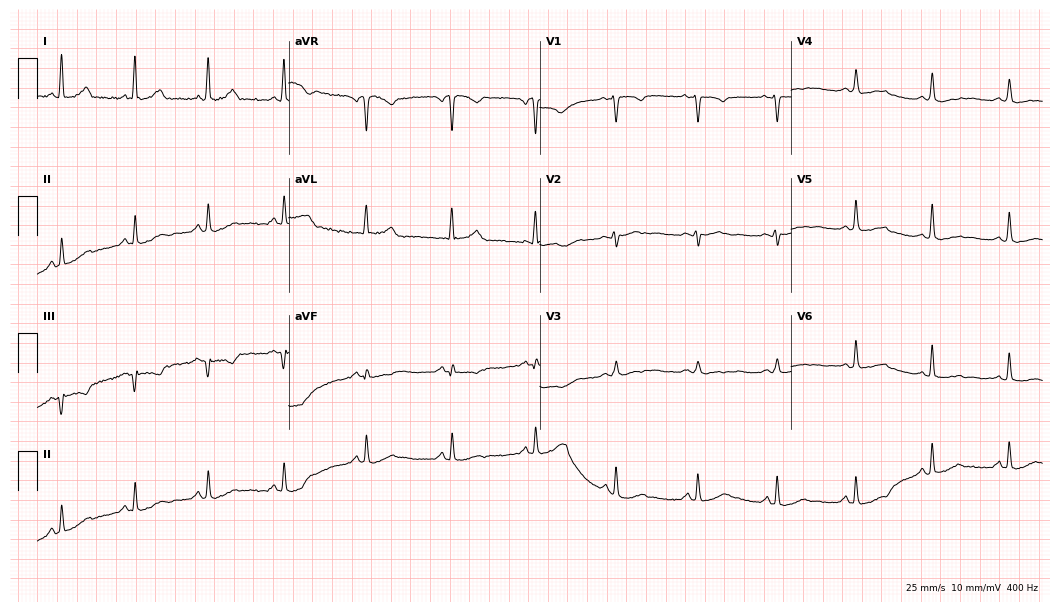
Electrocardiogram, a male patient, 29 years old. Overall reading on record: normal ECG.